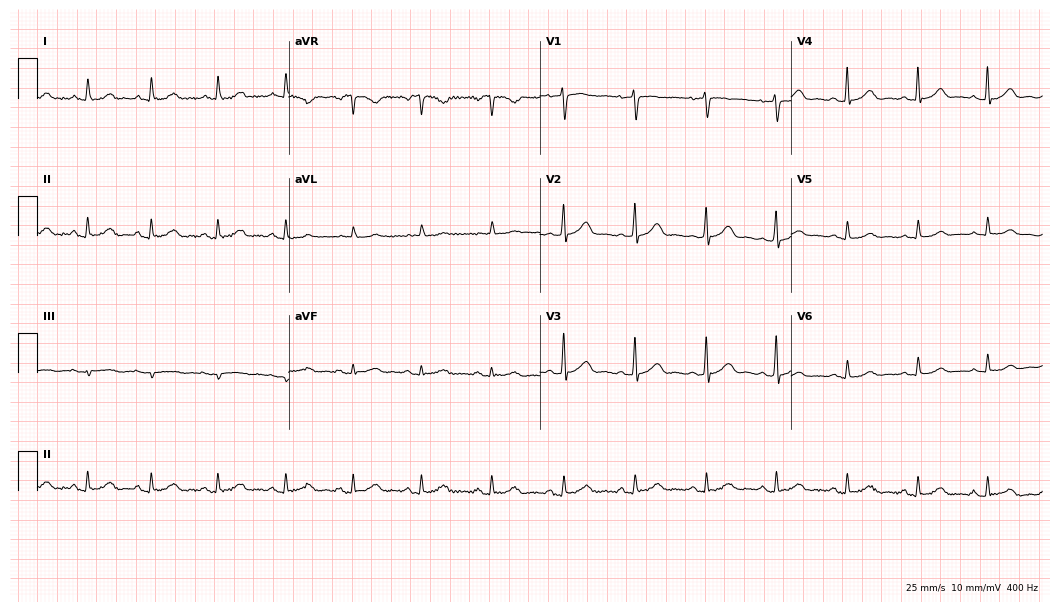
Standard 12-lead ECG recorded from a woman, 37 years old (10.2-second recording at 400 Hz). Read as a normal ECG.